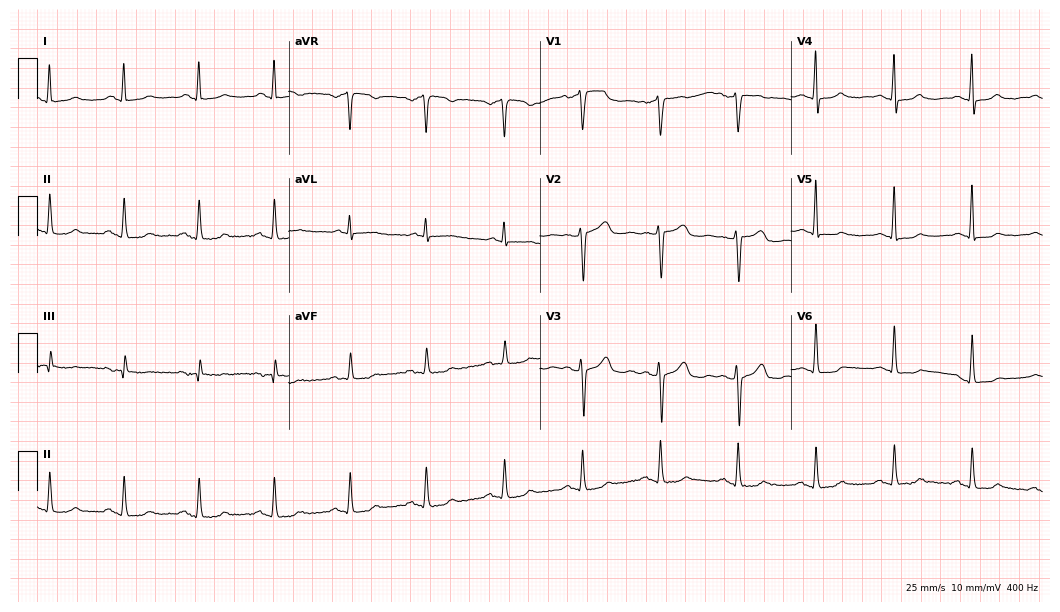
Standard 12-lead ECG recorded from a 53-year-old female. Read as a normal ECG.